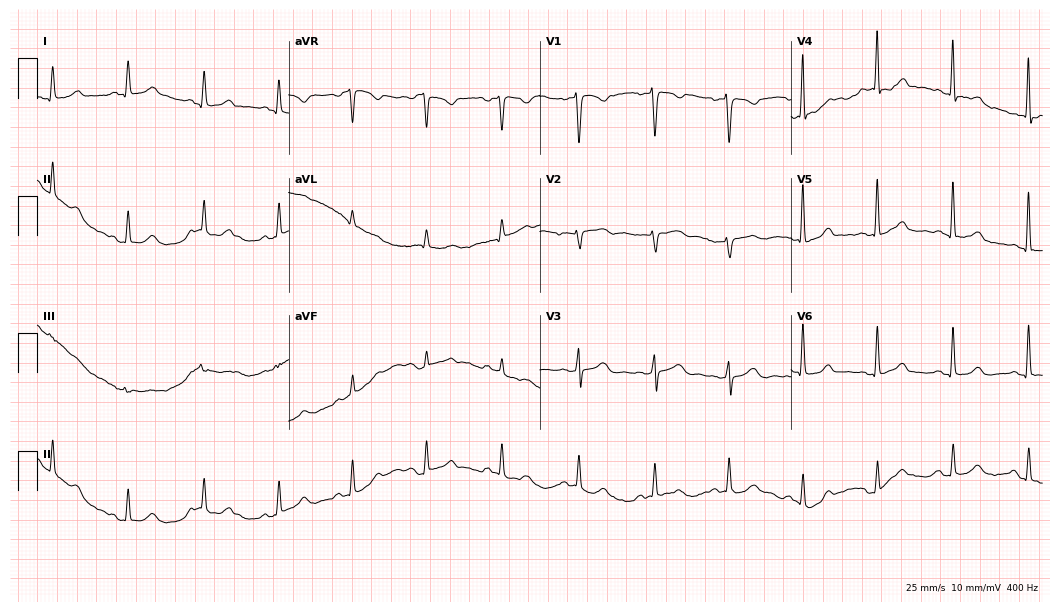
Standard 12-lead ECG recorded from a 56-year-old female. Read as a normal ECG.